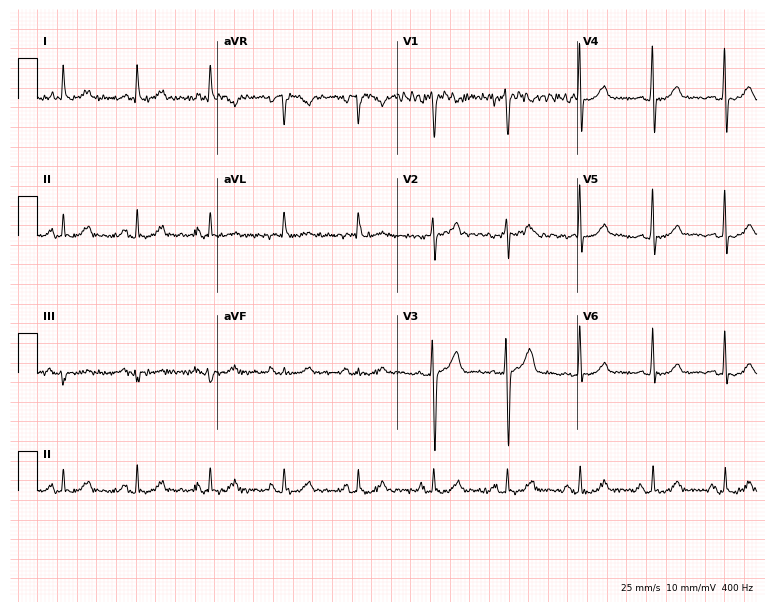
Resting 12-lead electrocardiogram (7.3-second recording at 400 Hz). Patient: a man, 51 years old. Read as a normal ECG.